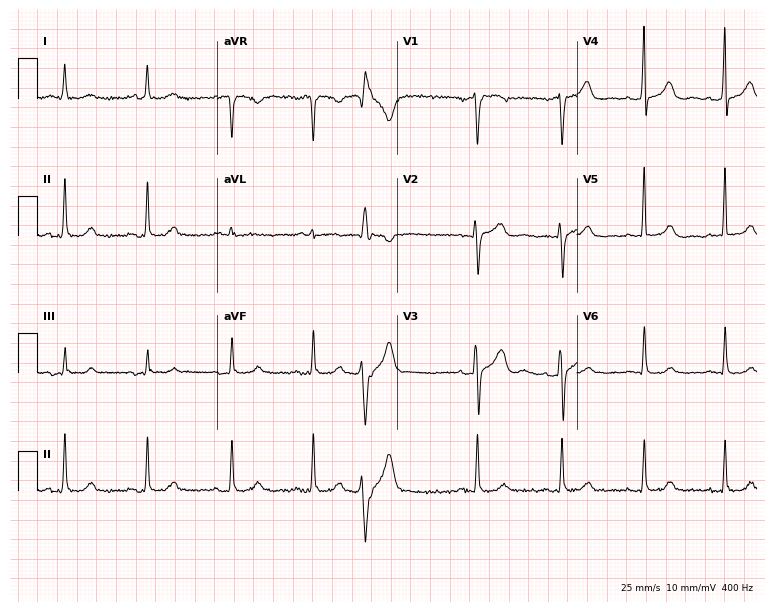
Resting 12-lead electrocardiogram (7.3-second recording at 400 Hz). Patient: a man, 79 years old. Read as a normal ECG.